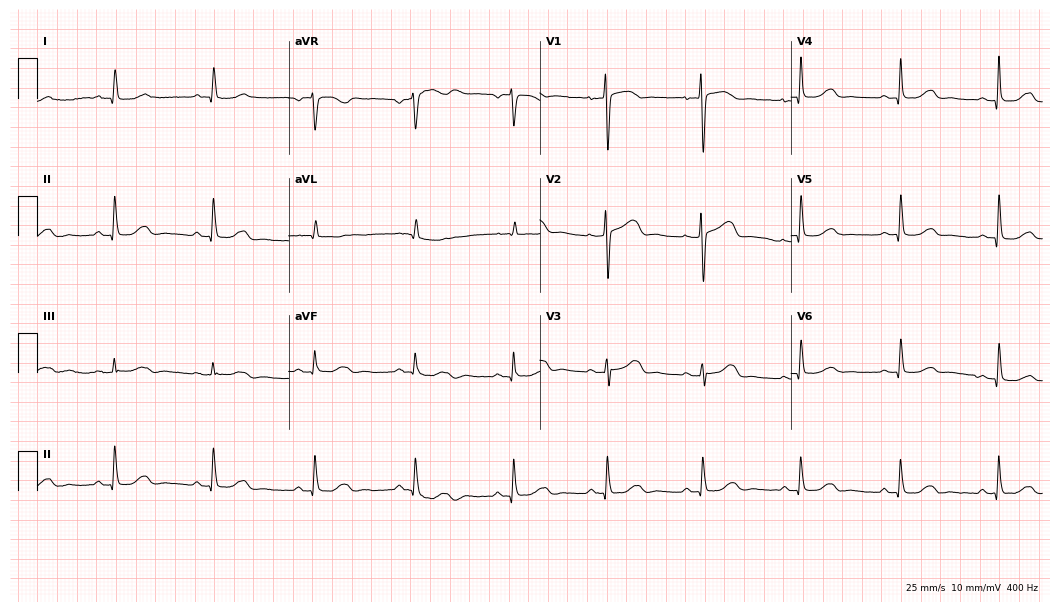
12-lead ECG from a female patient, 63 years old (10.2-second recording at 400 Hz). Recorded interpretation: within normal limits.